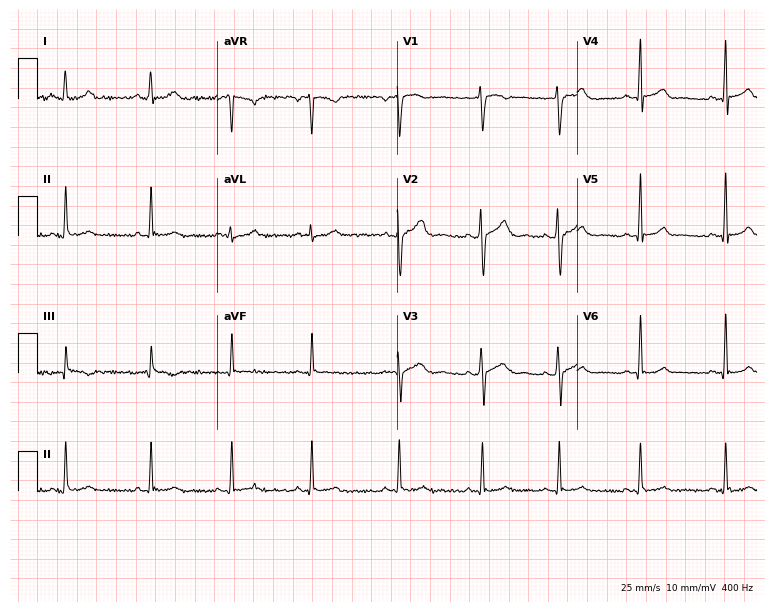
Electrocardiogram, a woman, 33 years old. Overall reading on record: normal ECG.